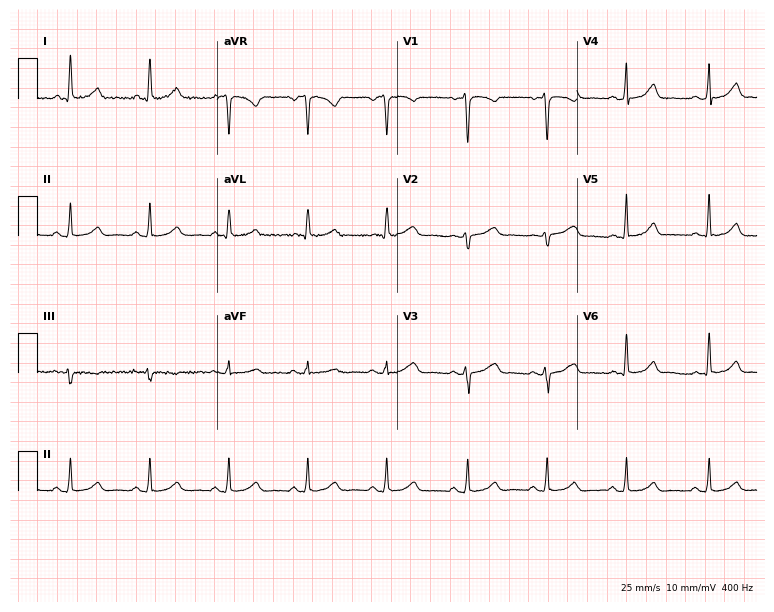
Electrocardiogram, a 42-year-old female. Of the six screened findings (first-degree AV block, right bundle branch block, left bundle branch block, sinus bradycardia, atrial fibrillation, sinus tachycardia), none is recorded. Only these six findings were labelled.